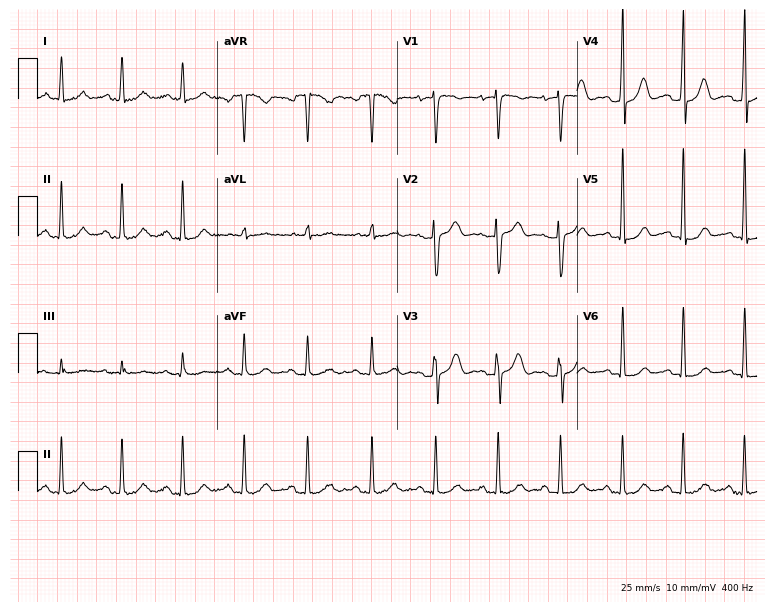
Resting 12-lead electrocardiogram. Patient: a 40-year-old female. Read as a normal ECG.